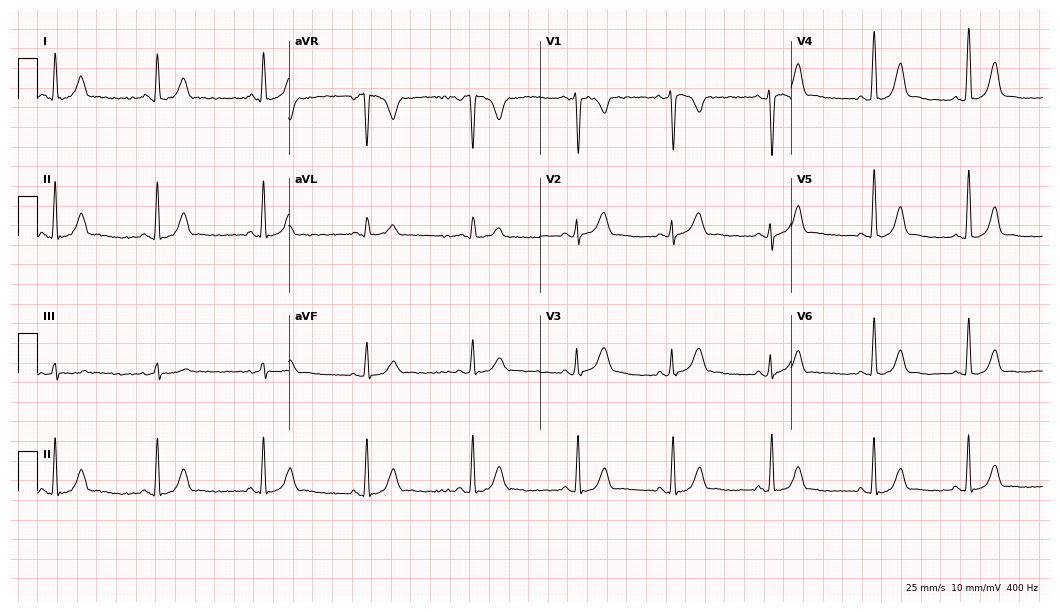
12-lead ECG from a 22-year-old woman (10.2-second recording at 400 Hz). Recorded interpretation: within normal limits.